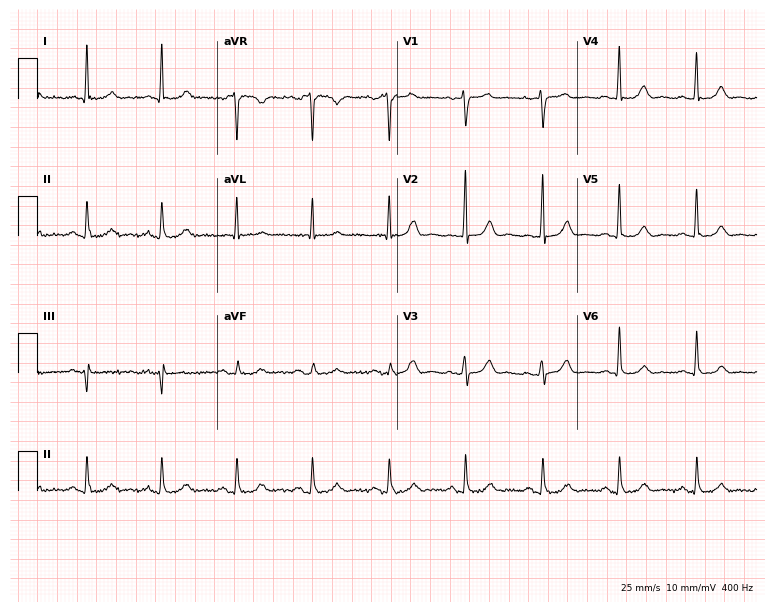
12-lead ECG from a woman, 70 years old. Labelled as a normal ECG.